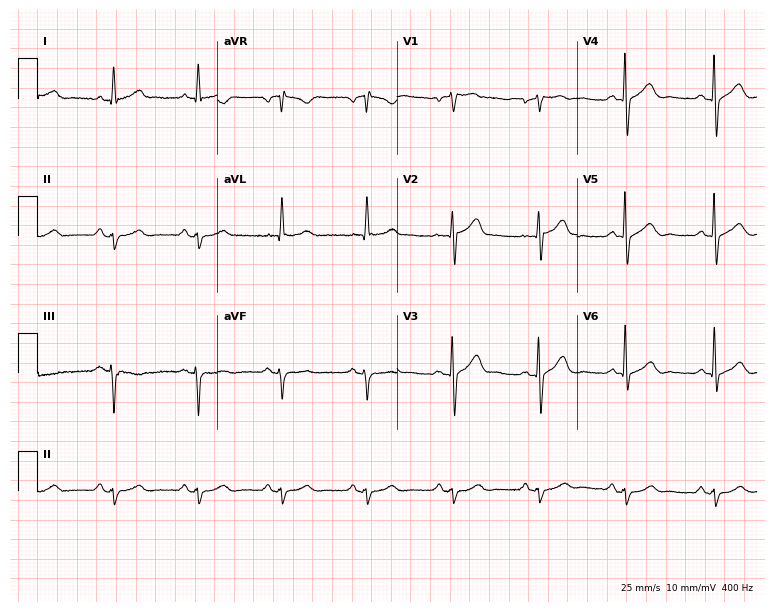
Resting 12-lead electrocardiogram. Patient: a man, 72 years old. None of these six findings is recorded: first-degree AV block, right bundle branch block, left bundle branch block, sinus bradycardia, atrial fibrillation, sinus tachycardia. Findings outside these six are not listed.